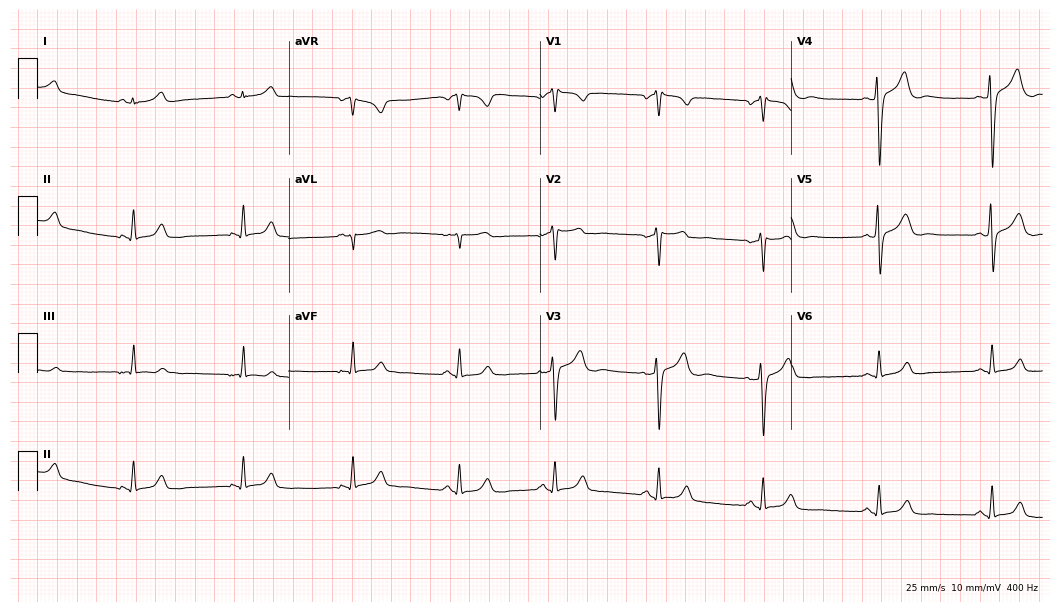
Resting 12-lead electrocardiogram. Patient: a woman, 31 years old. Read as a normal ECG.